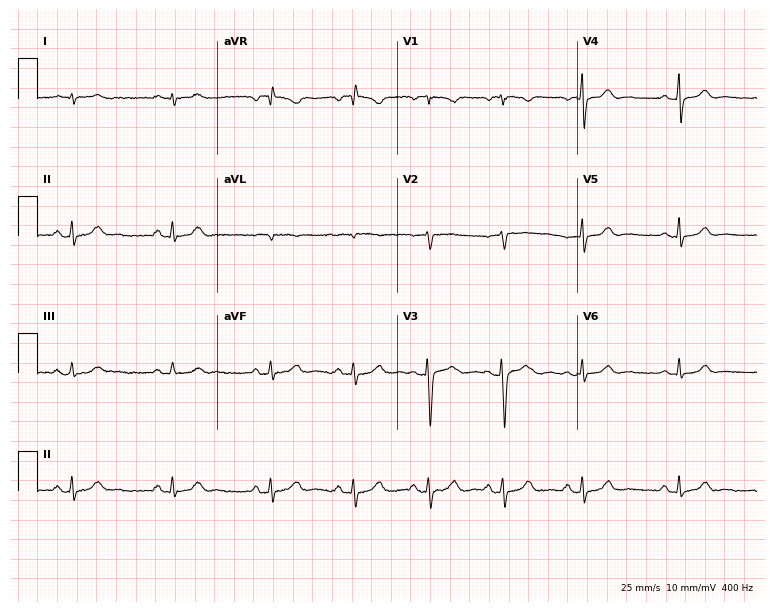
Resting 12-lead electrocardiogram. Patient: a female, 36 years old. None of these six findings is recorded: first-degree AV block, right bundle branch block, left bundle branch block, sinus bradycardia, atrial fibrillation, sinus tachycardia. Findings outside these six are not listed.